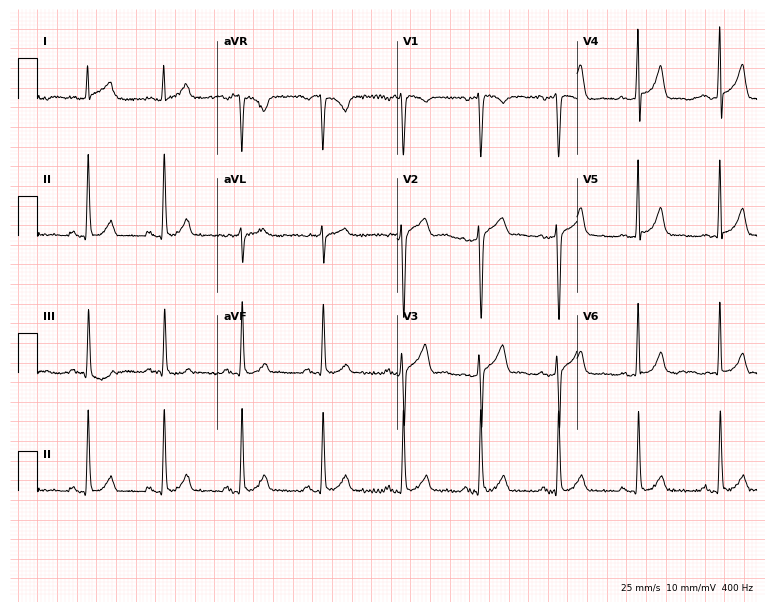
ECG (7.3-second recording at 400 Hz) — a 57-year-old female. Labelled as a normal ECG.